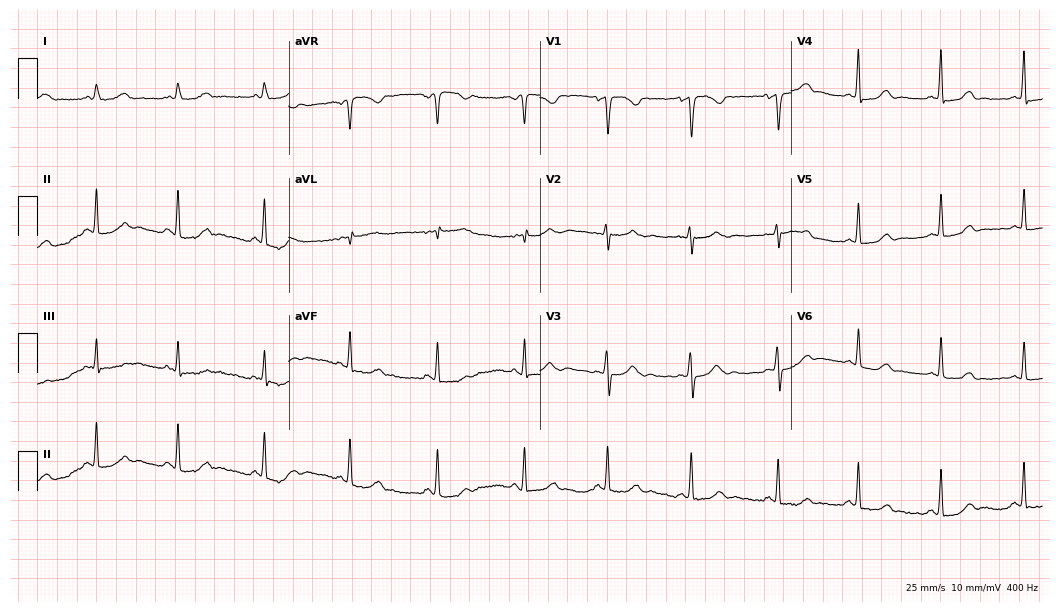
Resting 12-lead electrocardiogram (10.2-second recording at 400 Hz). Patient: a woman, 23 years old. None of these six findings is recorded: first-degree AV block, right bundle branch block, left bundle branch block, sinus bradycardia, atrial fibrillation, sinus tachycardia.